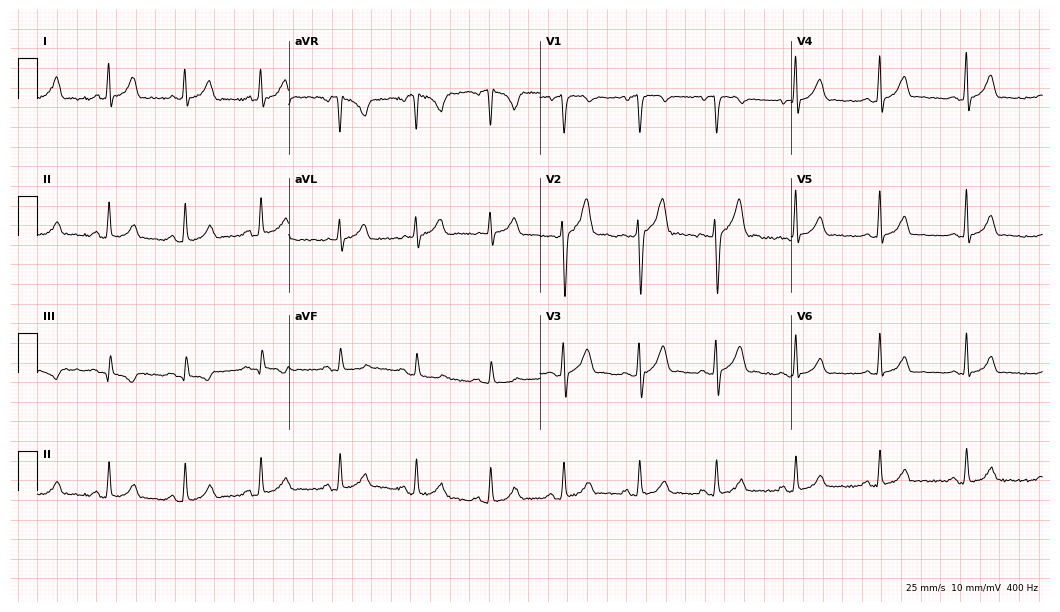
12-lead ECG from a male patient, 36 years old (10.2-second recording at 400 Hz). Recorded interpretation: within normal limits.